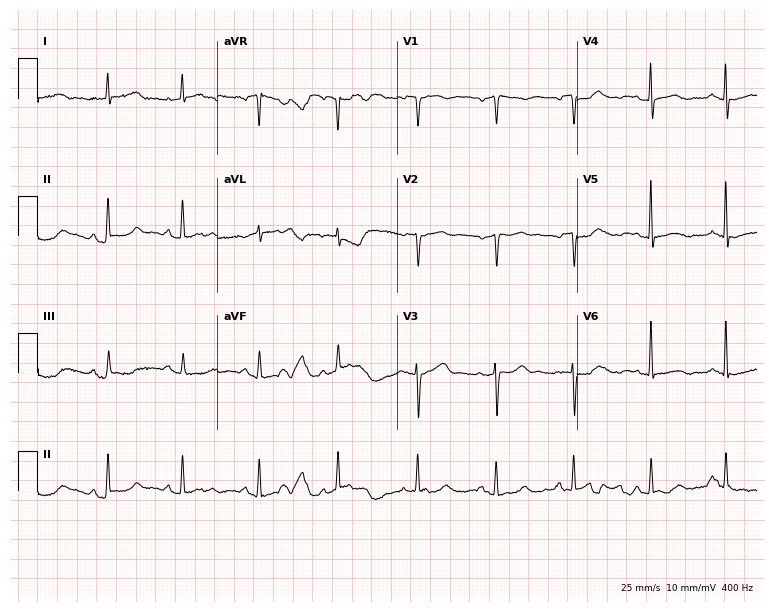
12-lead ECG from a 62-year-old female patient (7.3-second recording at 400 Hz). Recorded interpretation: within normal limits.